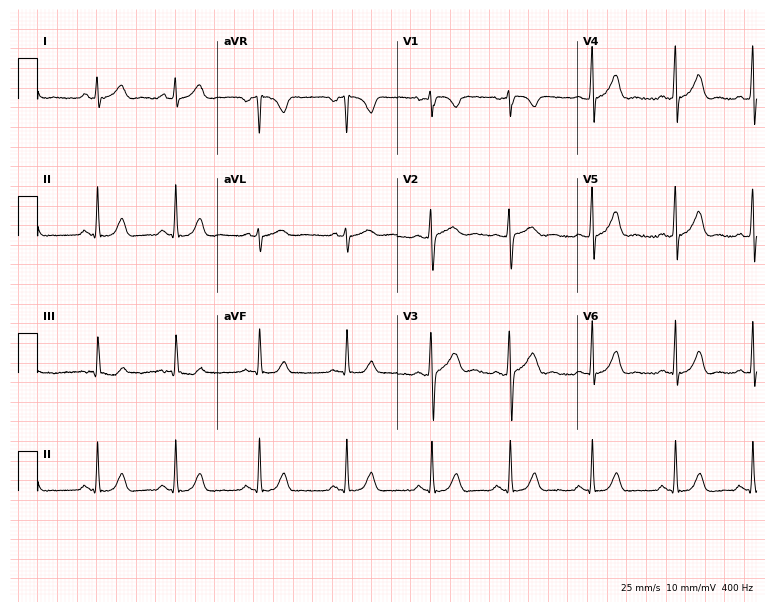
Standard 12-lead ECG recorded from a 20-year-old woman. Read as a normal ECG.